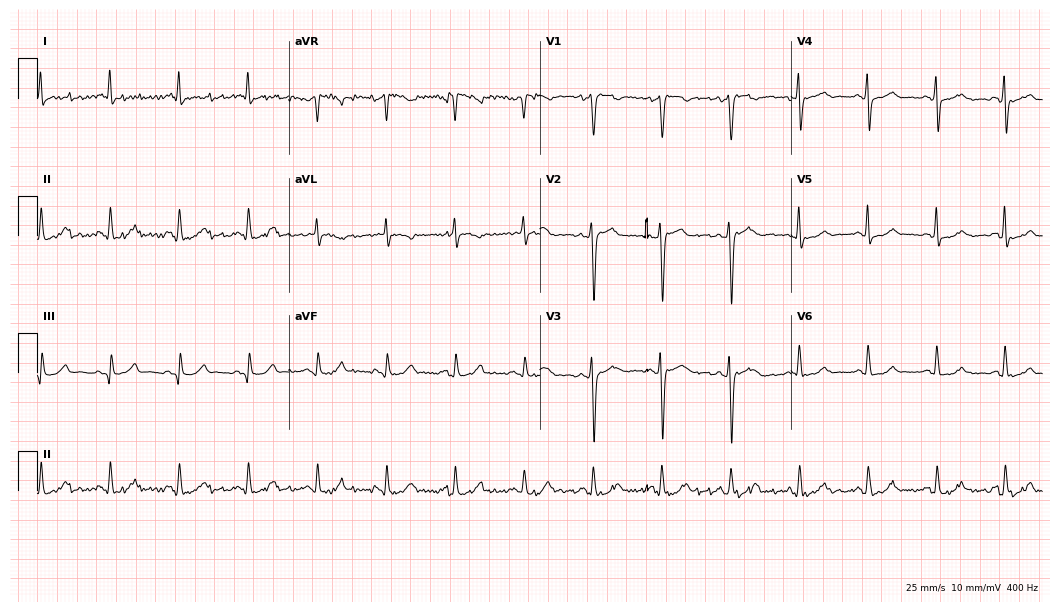
12-lead ECG from a female, 46 years old. Recorded interpretation: within normal limits.